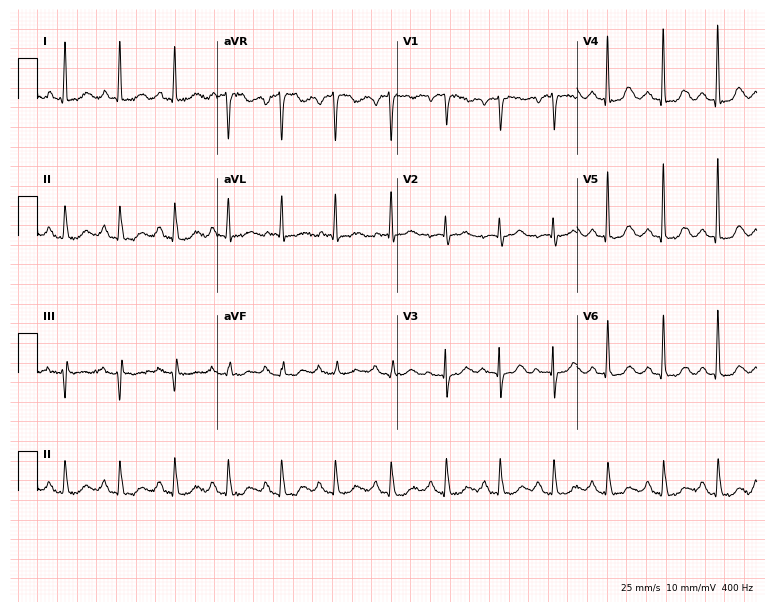
ECG — a female, 79 years old. Findings include sinus tachycardia (a sinus rate of 100 beats per minute or more).